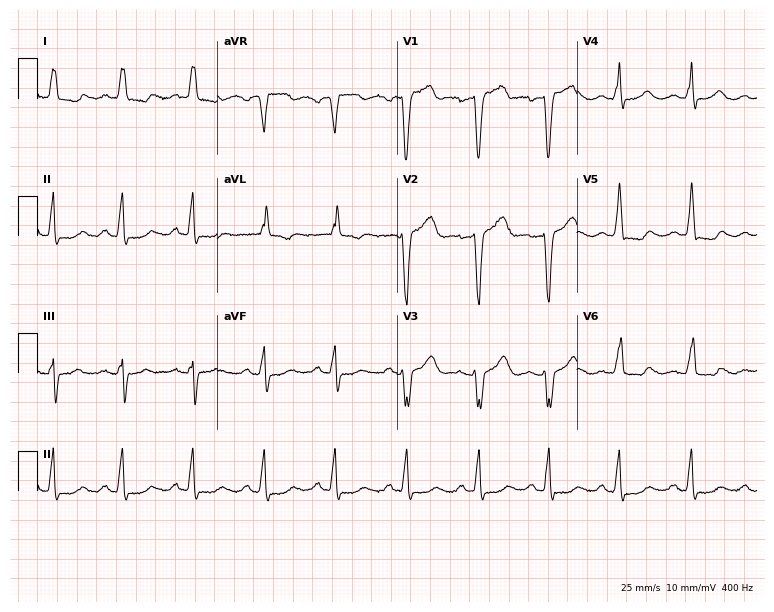
Electrocardiogram (7.3-second recording at 400 Hz), a 76-year-old female patient. Of the six screened findings (first-degree AV block, right bundle branch block, left bundle branch block, sinus bradycardia, atrial fibrillation, sinus tachycardia), none is recorded.